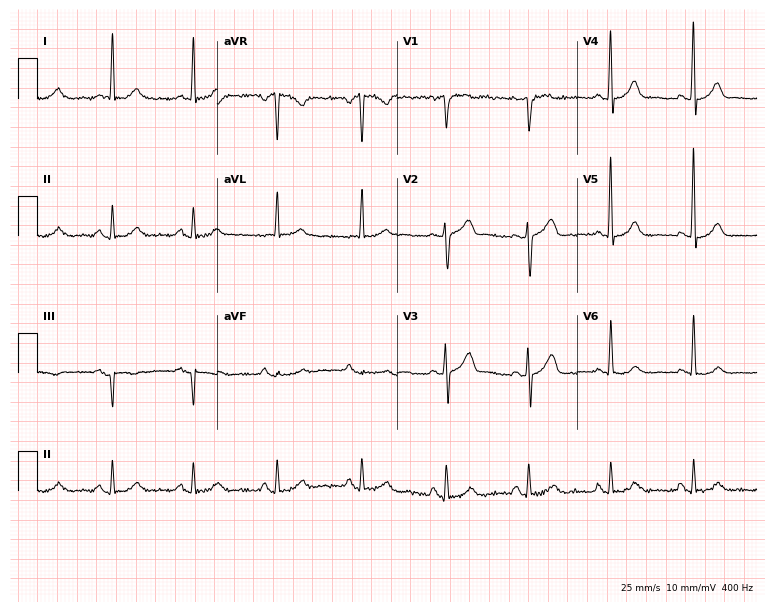
Standard 12-lead ECG recorded from a man, 64 years old. None of these six findings is recorded: first-degree AV block, right bundle branch block (RBBB), left bundle branch block (LBBB), sinus bradycardia, atrial fibrillation (AF), sinus tachycardia. Other findings, if any, are not listed.